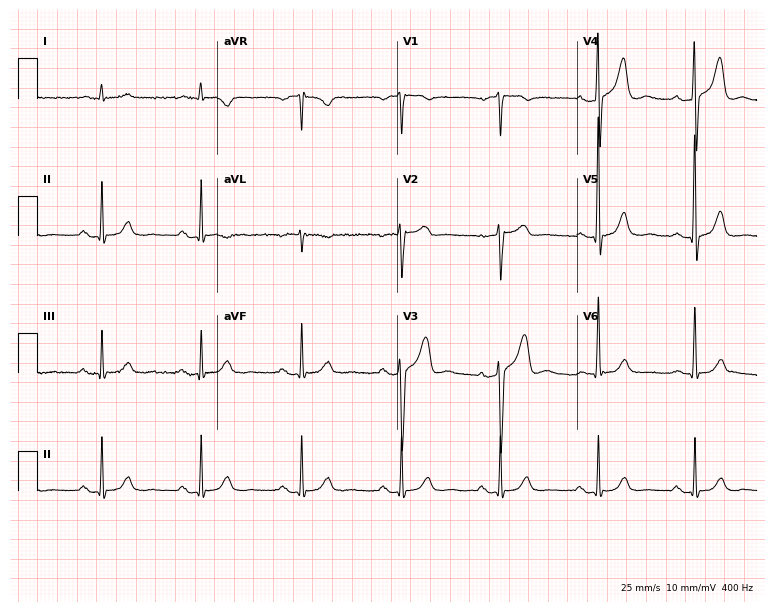
Standard 12-lead ECG recorded from a man, 69 years old. Read as a normal ECG.